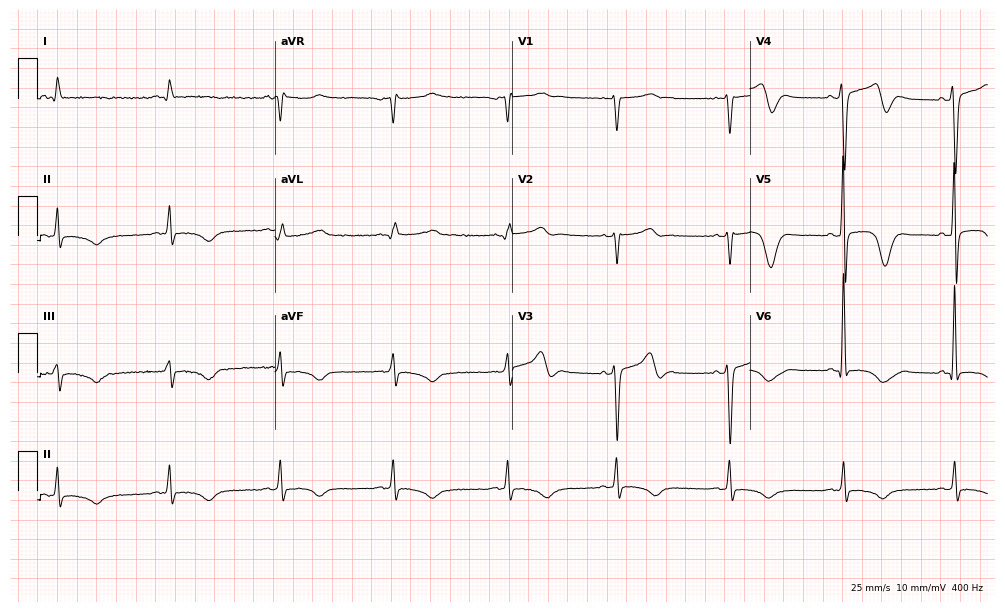
Standard 12-lead ECG recorded from a 55-year-old male (9.7-second recording at 400 Hz). The tracing shows sinus bradycardia (a sinus rate of 50 beats per minute or less).